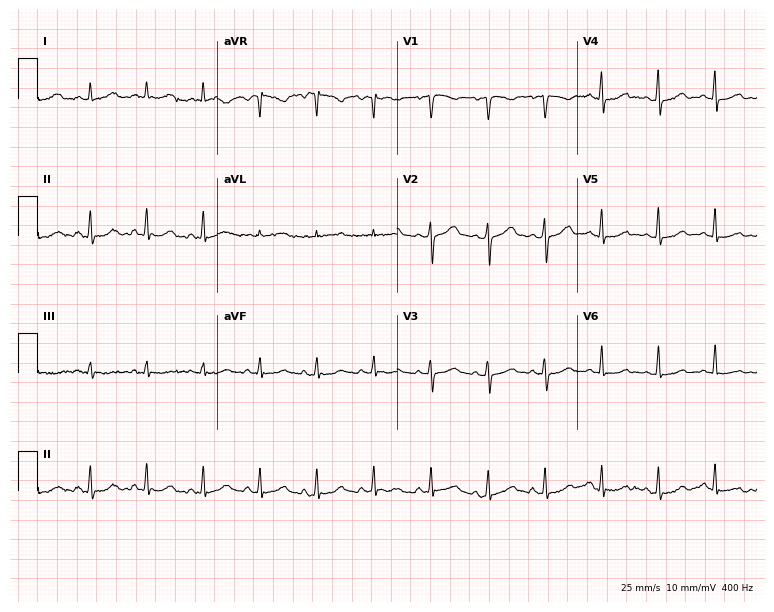
12-lead ECG from a woman, 45 years old. Recorded interpretation: within normal limits.